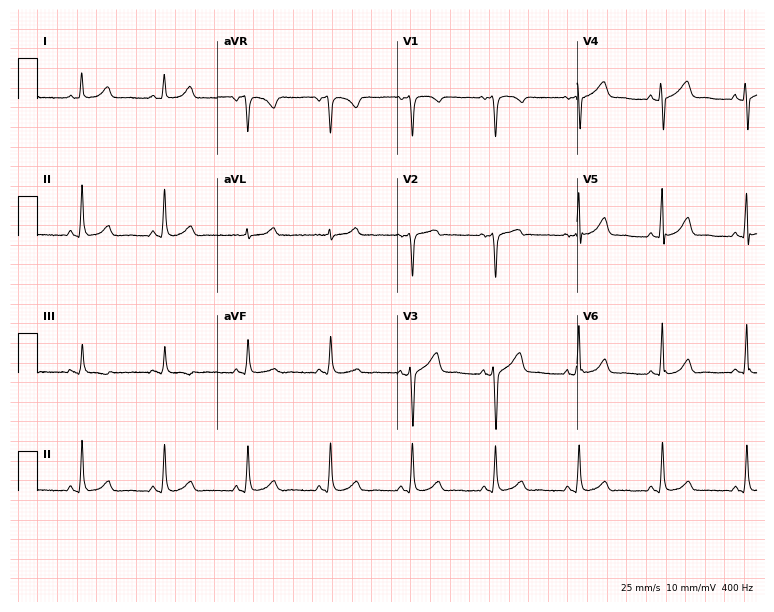
12-lead ECG from a female patient, 45 years old. Screened for six findings — first-degree AV block, right bundle branch block, left bundle branch block, sinus bradycardia, atrial fibrillation, sinus tachycardia — none is recorded.